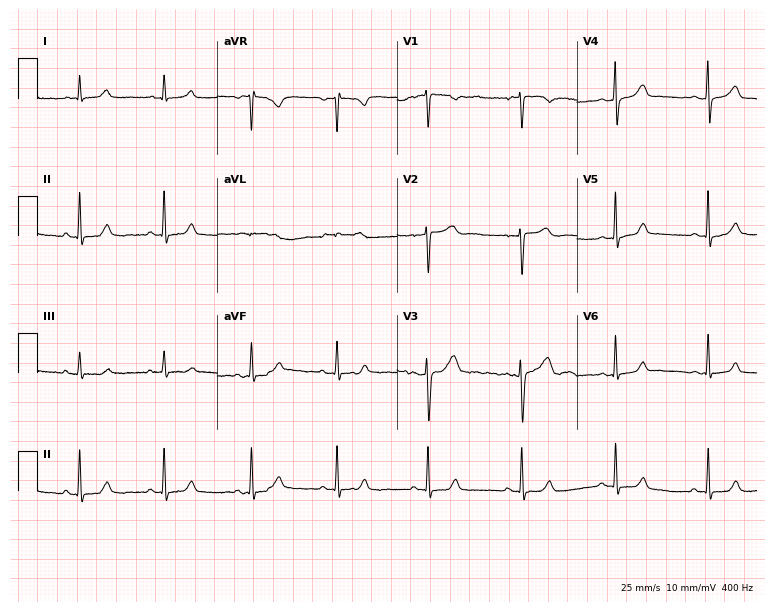
Standard 12-lead ECG recorded from a 43-year-old woman (7.3-second recording at 400 Hz). Read as a normal ECG.